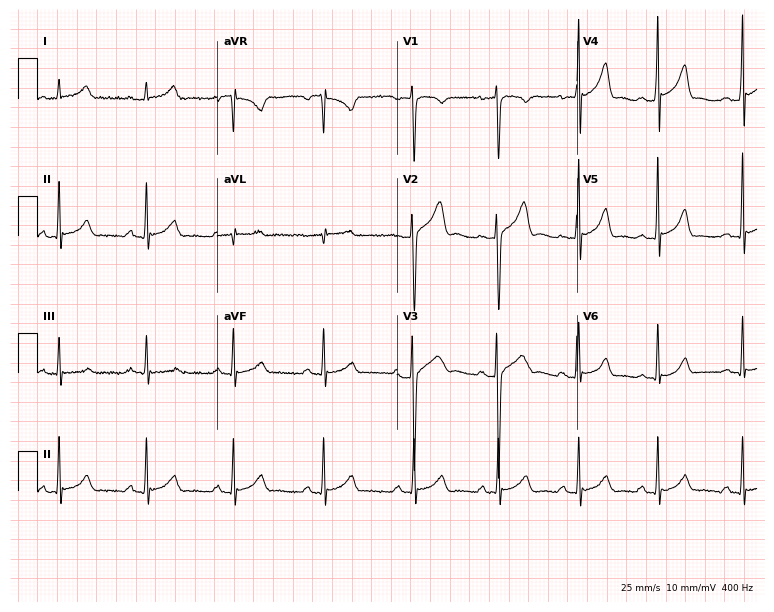
Standard 12-lead ECG recorded from a 19-year-old male patient. Read as a normal ECG.